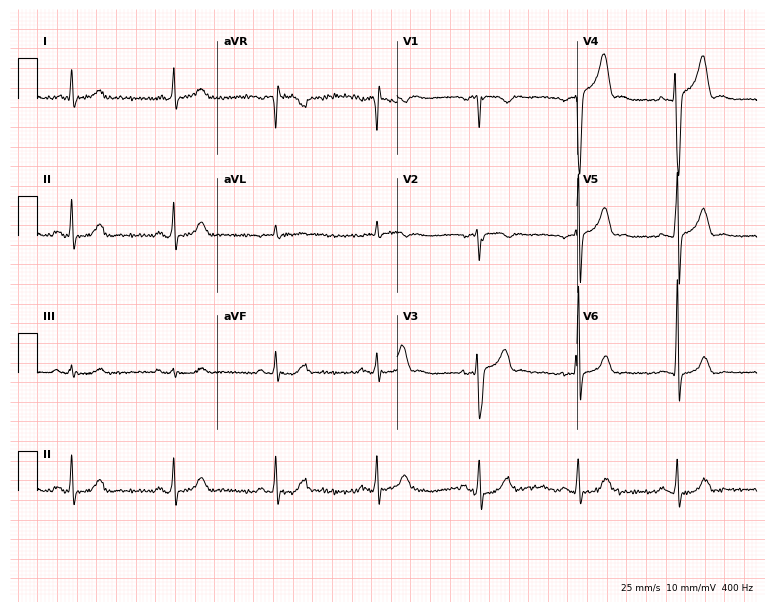
Resting 12-lead electrocardiogram (7.3-second recording at 400 Hz). Patient: a 49-year-old male. Read as a normal ECG.